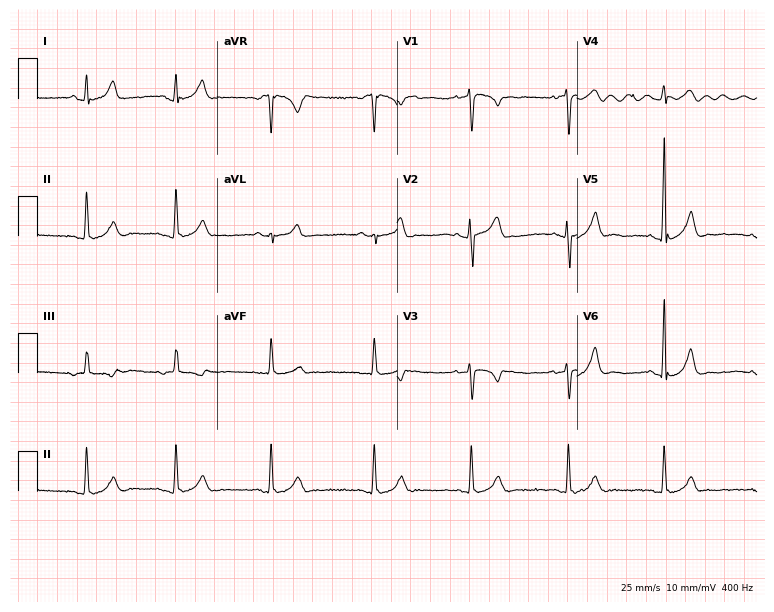
ECG — a 19-year-old male patient. Labelled as a normal ECG.